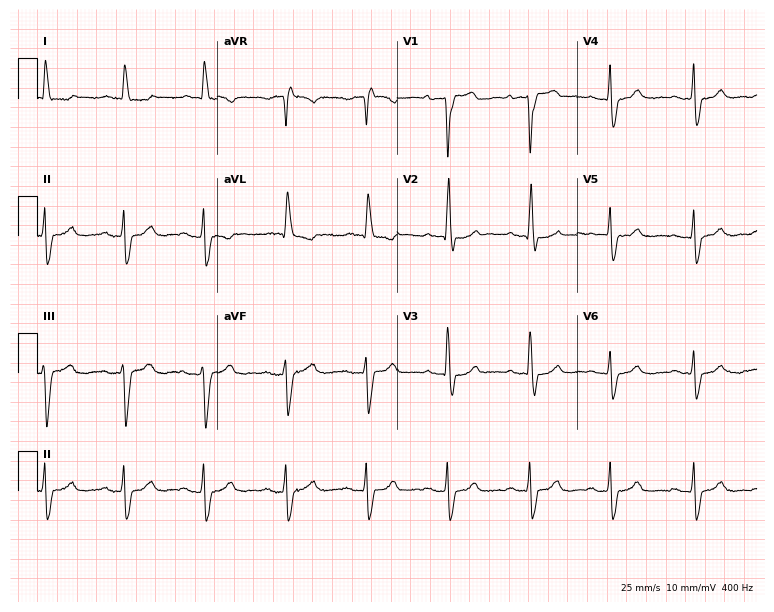
ECG — an 85-year-old woman. Findings include left bundle branch block (LBBB).